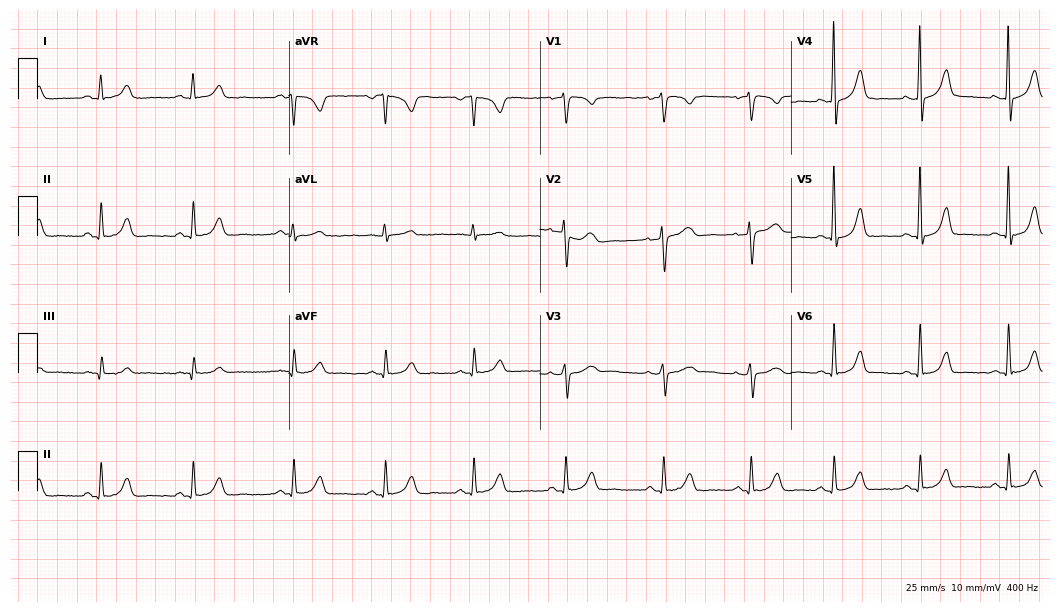
12-lead ECG (10.2-second recording at 400 Hz) from a 30-year-old female patient. Labelled as a normal ECG.